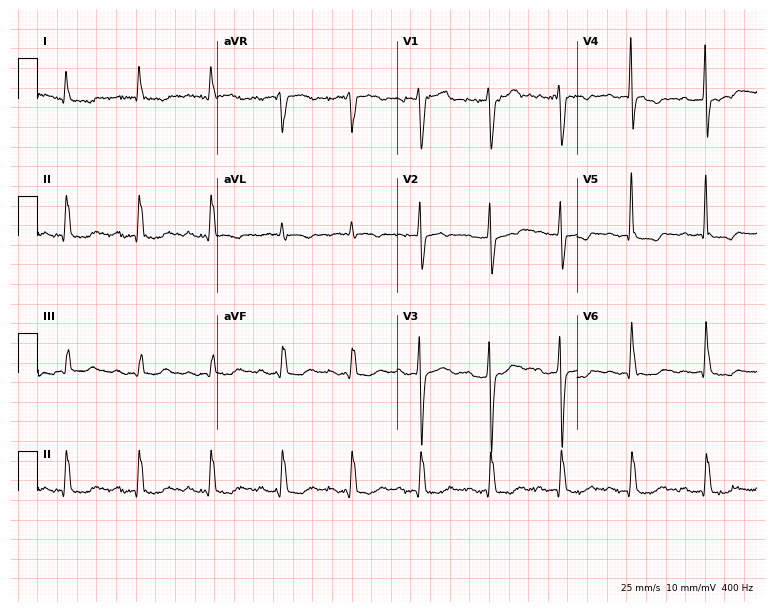
Electrocardiogram, a male patient, 79 years old. Of the six screened findings (first-degree AV block, right bundle branch block, left bundle branch block, sinus bradycardia, atrial fibrillation, sinus tachycardia), none is recorded. Other findings, if any, are not listed.